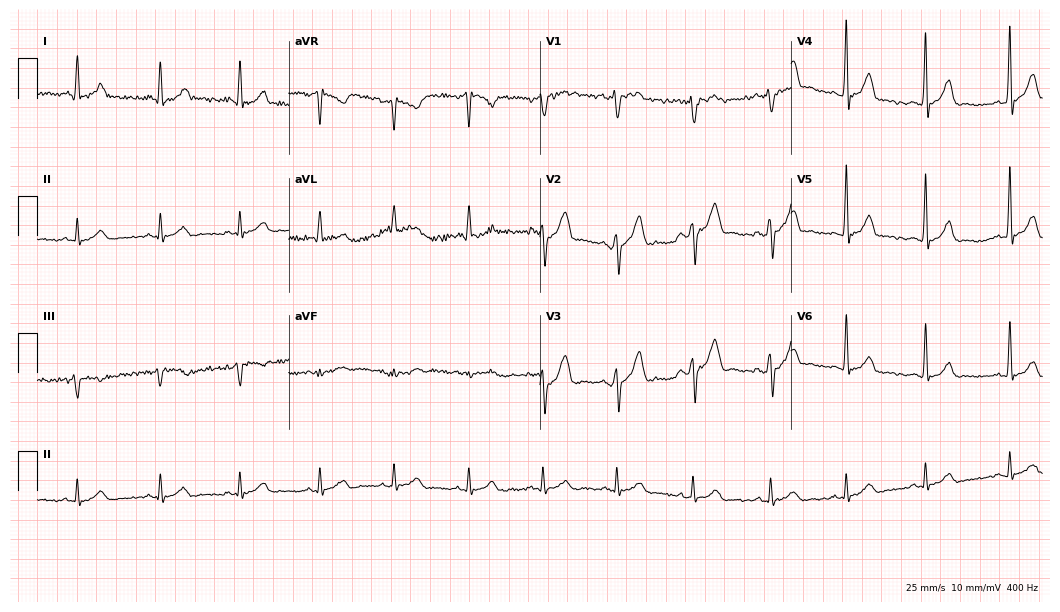
Resting 12-lead electrocardiogram. Patient: a 26-year-old male. None of these six findings is recorded: first-degree AV block, right bundle branch block, left bundle branch block, sinus bradycardia, atrial fibrillation, sinus tachycardia.